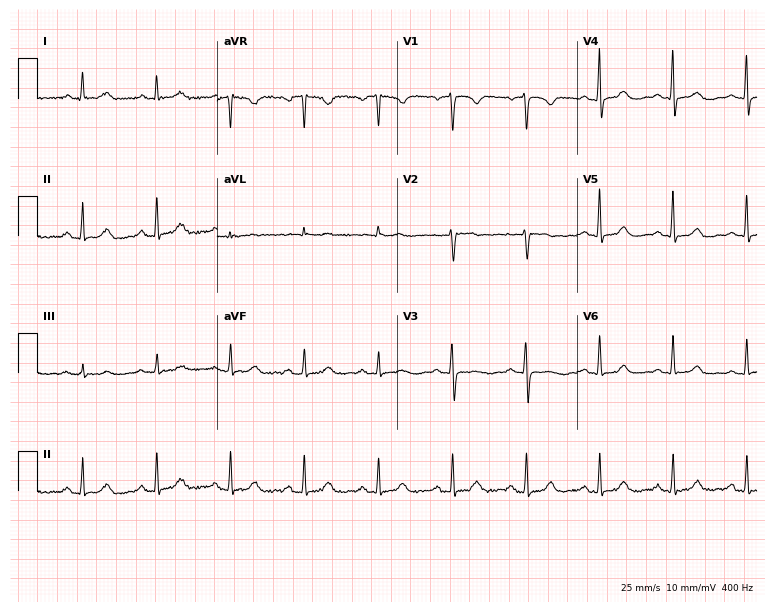
Standard 12-lead ECG recorded from a female, 55 years old. Read as a normal ECG.